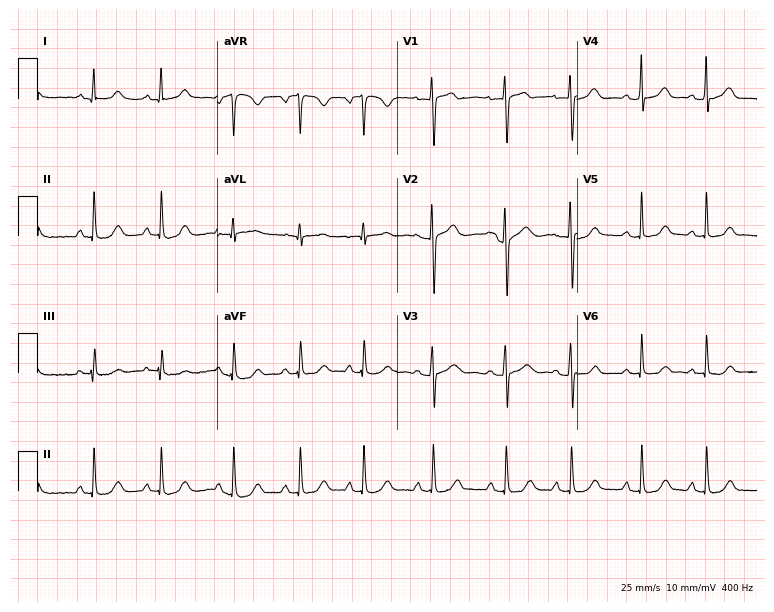
Standard 12-lead ECG recorded from a 25-year-old female (7.3-second recording at 400 Hz). None of these six findings is recorded: first-degree AV block, right bundle branch block (RBBB), left bundle branch block (LBBB), sinus bradycardia, atrial fibrillation (AF), sinus tachycardia.